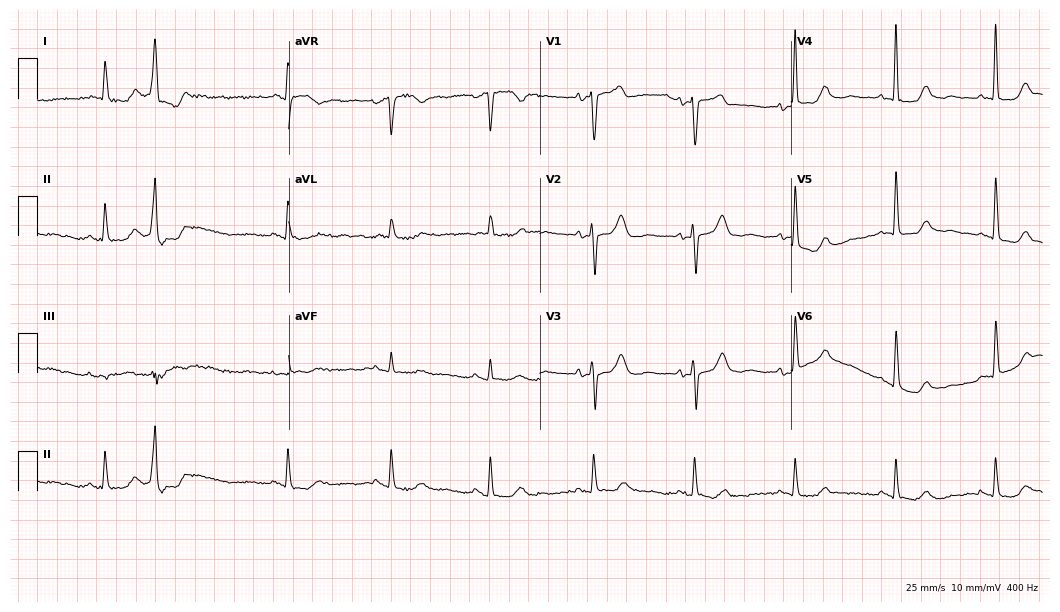
Standard 12-lead ECG recorded from an 80-year-old female. None of these six findings is recorded: first-degree AV block, right bundle branch block, left bundle branch block, sinus bradycardia, atrial fibrillation, sinus tachycardia.